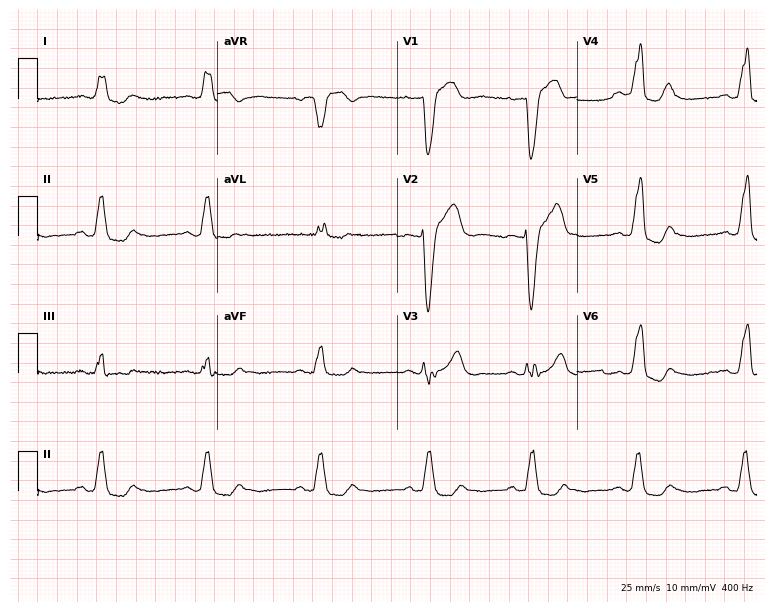
Electrocardiogram (7.3-second recording at 400 Hz), a 79-year-old male patient. Of the six screened findings (first-degree AV block, right bundle branch block, left bundle branch block, sinus bradycardia, atrial fibrillation, sinus tachycardia), none is recorded. Other findings, if any, are not listed.